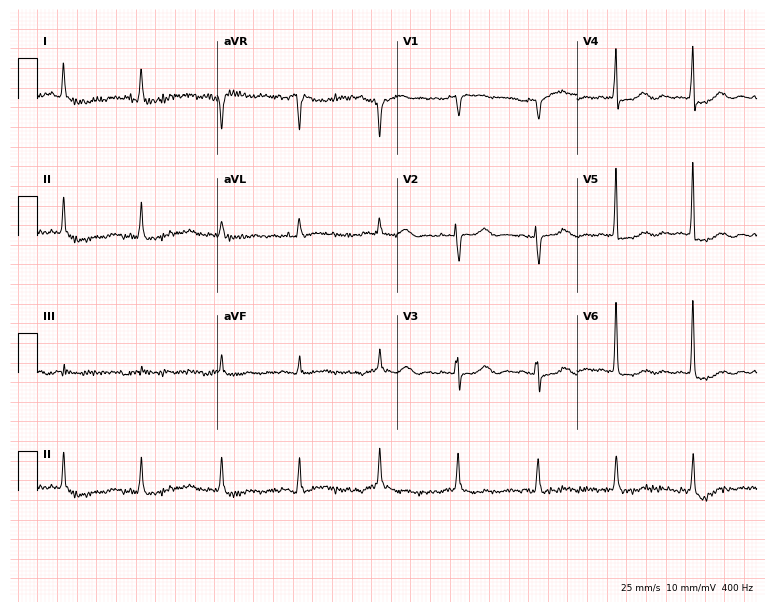
Resting 12-lead electrocardiogram (7.3-second recording at 400 Hz). Patient: a 79-year-old female. None of these six findings is recorded: first-degree AV block, right bundle branch block, left bundle branch block, sinus bradycardia, atrial fibrillation, sinus tachycardia. Findings outside these six are not listed.